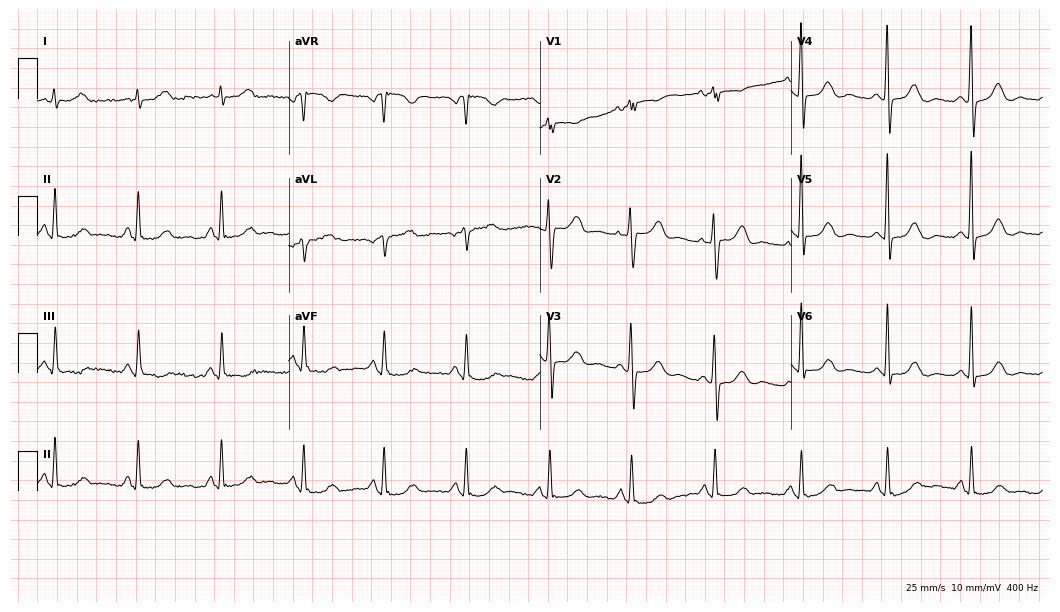
12-lead ECG from an 82-year-old woman (10.2-second recording at 400 Hz). Recorded interpretation: within normal limits.